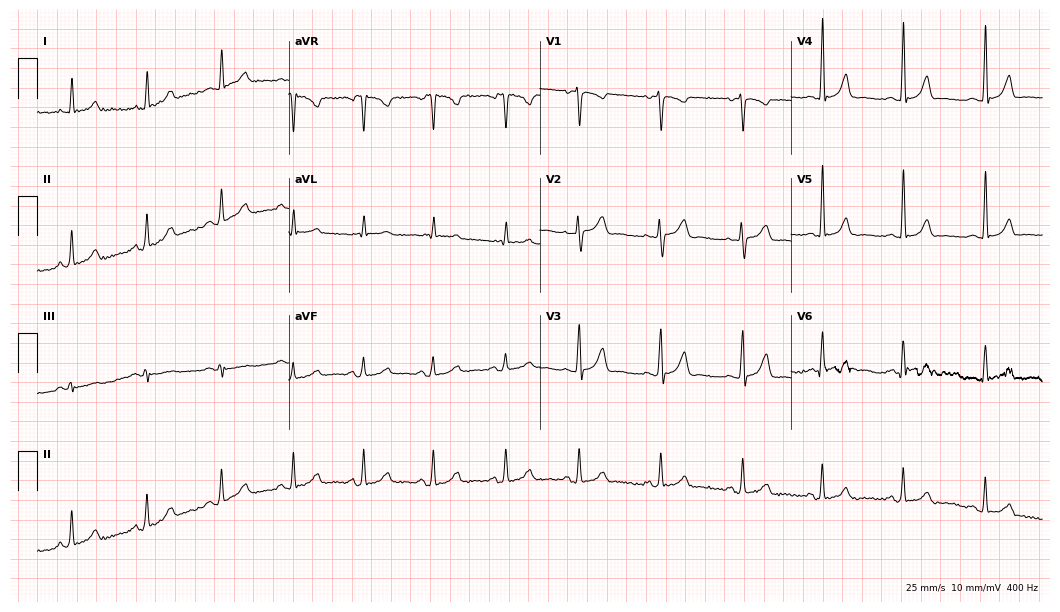
ECG (10.2-second recording at 400 Hz) — a 43-year-old woman. Labelled as a normal ECG.